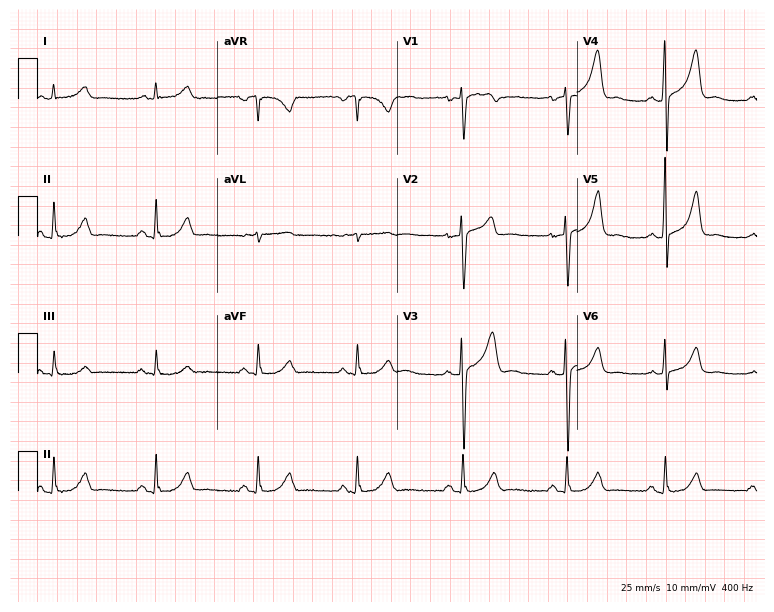
ECG — a male, 56 years old. Labelled as a normal ECG.